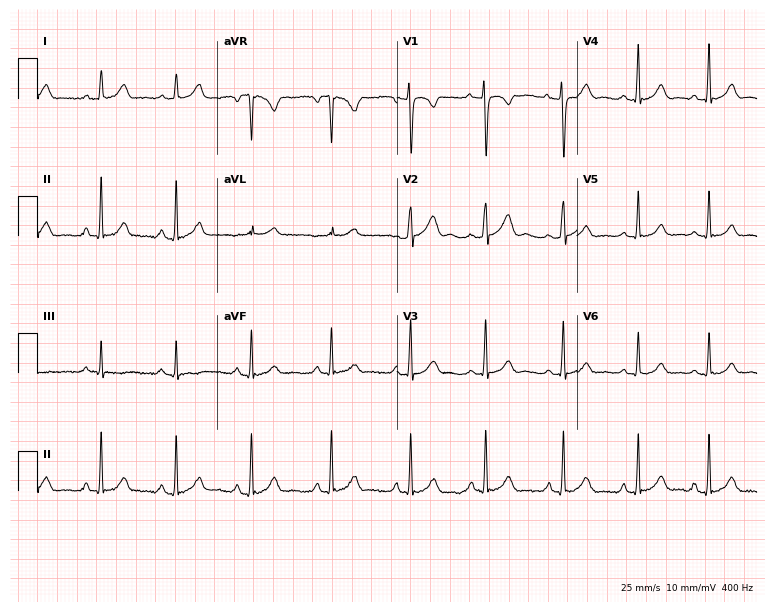
12-lead ECG (7.3-second recording at 400 Hz) from a female, 23 years old. Labelled as a normal ECG.